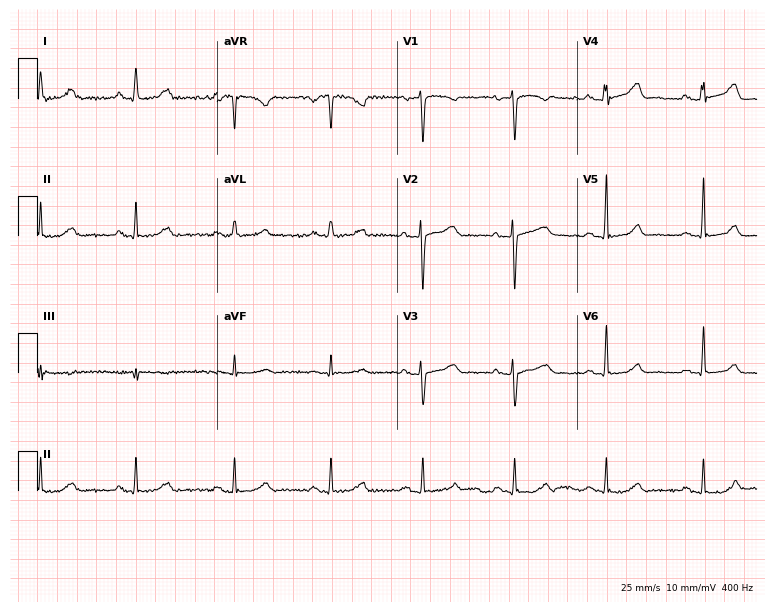
12-lead ECG from a 48-year-old woman. Labelled as a normal ECG.